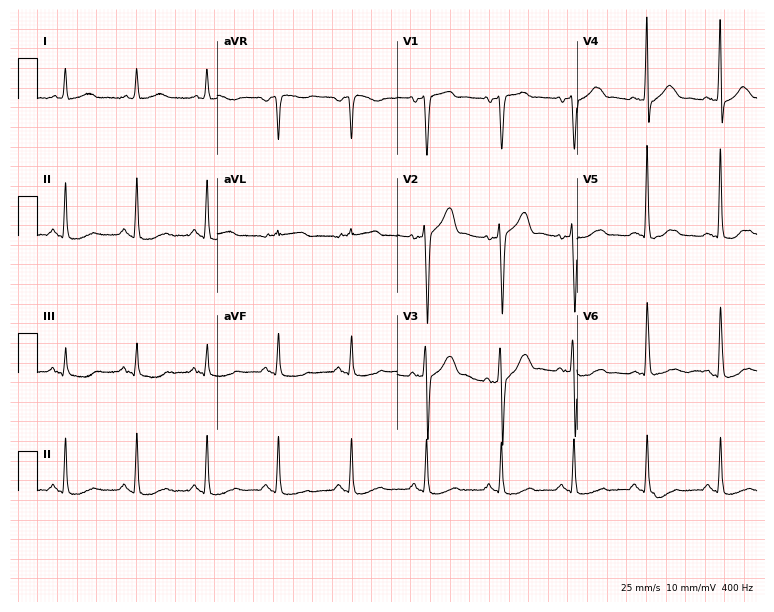
Standard 12-lead ECG recorded from a woman, 69 years old (7.3-second recording at 400 Hz). None of these six findings is recorded: first-degree AV block, right bundle branch block, left bundle branch block, sinus bradycardia, atrial fibrillation, sinus tachycardia. Findings outside these six are not listed.